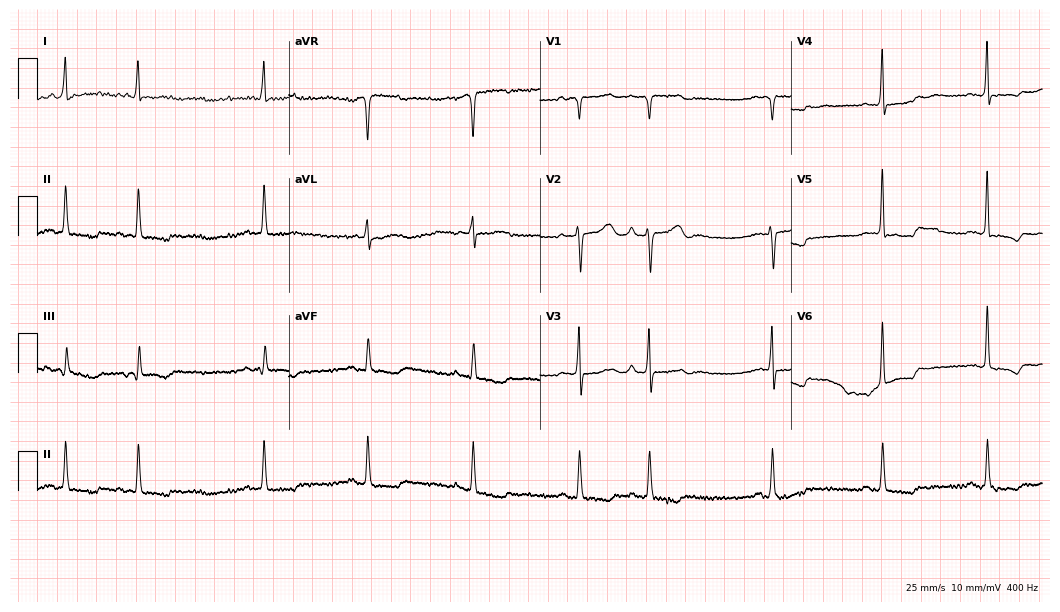
12-lead ECG (10.2-second recording at 400 Hz) from a woman, 78 years old. Screened for six findings — first-degree AV block, right bundle branch block (RBBB), left bundle branch block (LBBB), sinus bradycardia, atrial fibrillation (AF), sinus tachycardia — none is recorded. Findings outside these six are not listed.